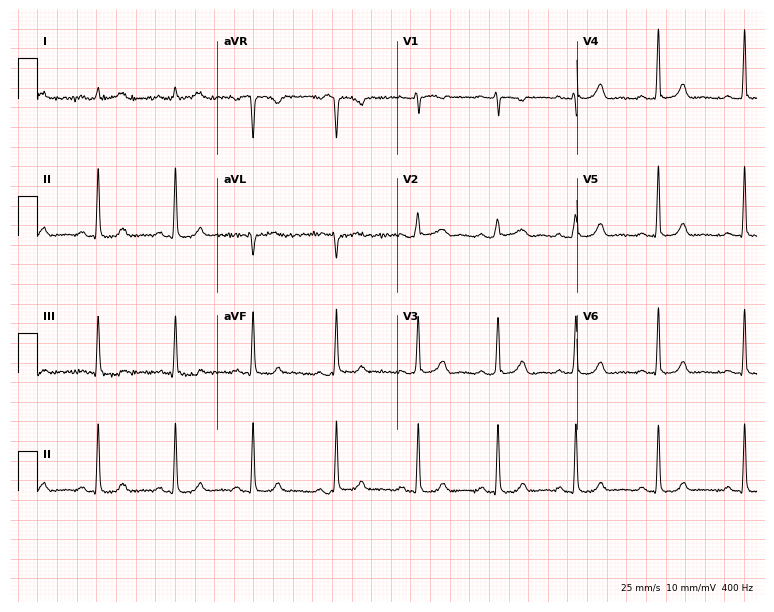
Resting 12-lead electrocardiogram (7.3-second recording at 400 Hz). Patient: a female, 30 years old. Read as a normal ECG.